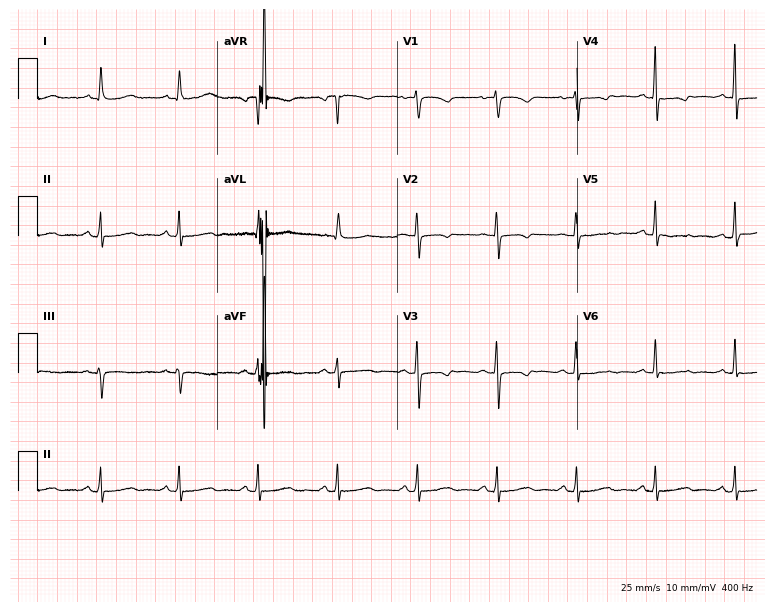
12-lead ECG (7.3-second recording at 400 Hz) from a 64-year-old female. Screened for six findings — first-degree AV block, right bundle branch block, left bundle branch block, sinus bradycardia, atrial fibrillation, sinus tachycardia — none is recorded.